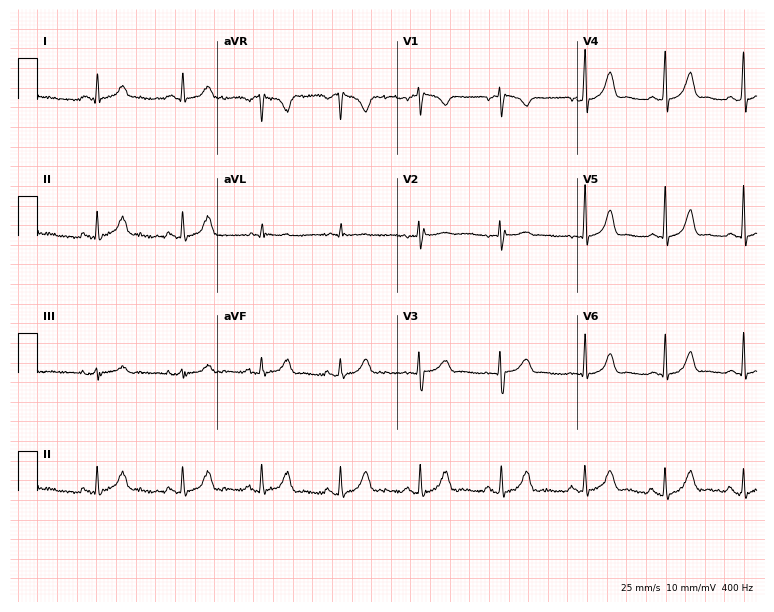
12-lead ECG from a woman, 34 years old. Recorded interpretation: within normal limits.